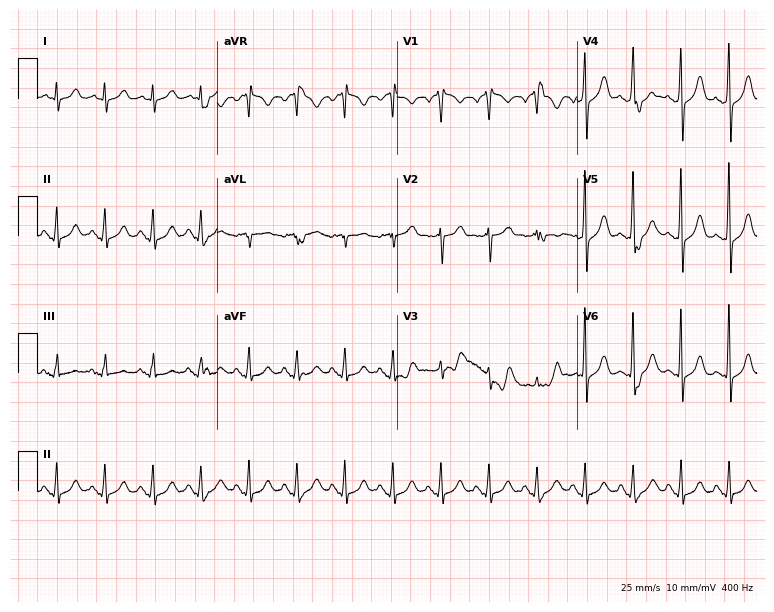
12-lead ECG from a 76-year-old female patient. Shows sinus tachycardia (a sinus rate of 100 beats per minute or more).